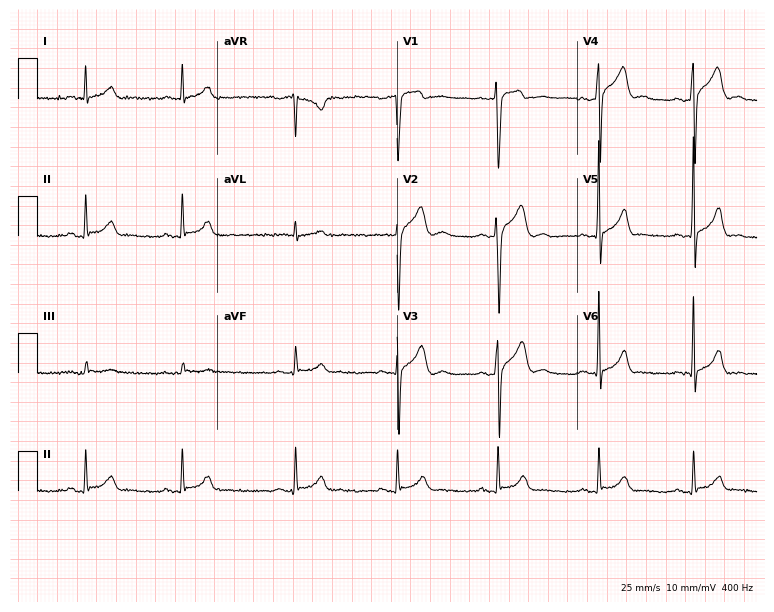
12-lead ECG (7.3-second recording at 400 Hz) from a 19-year-old man. Labelled as a normal ECG.